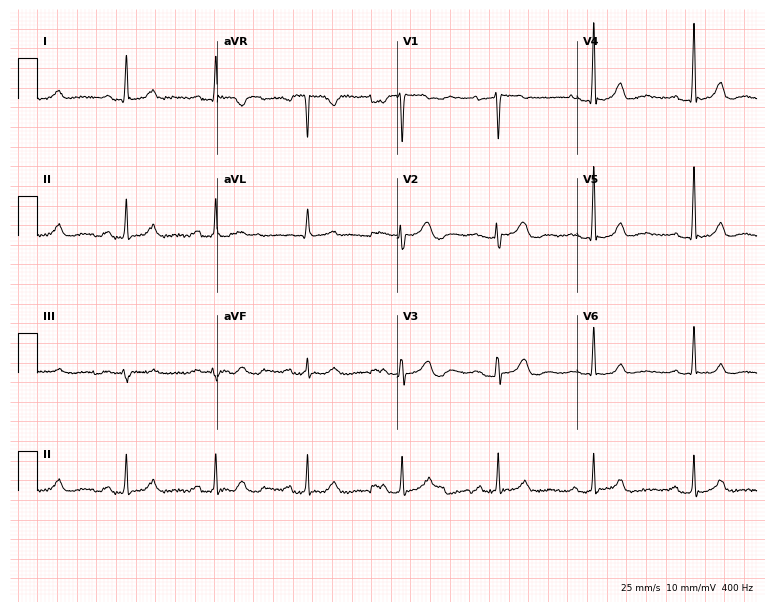
12-lead ECG (7.3-second recording at 400 Hz) from a female, 42 years old. Labelled as a normal ECG.